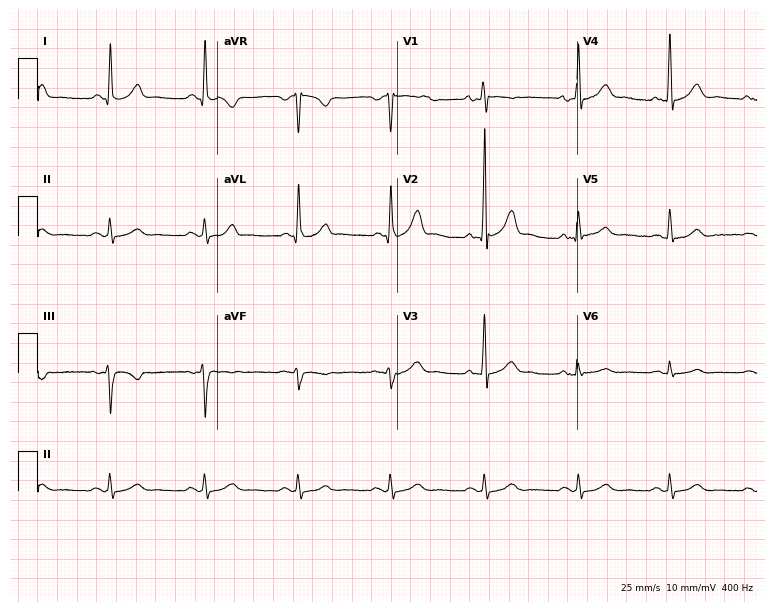
12-lead ECG (7.3-second recording at 400 Hz) from a 74-year-old man. Labelled as a normal ECG.